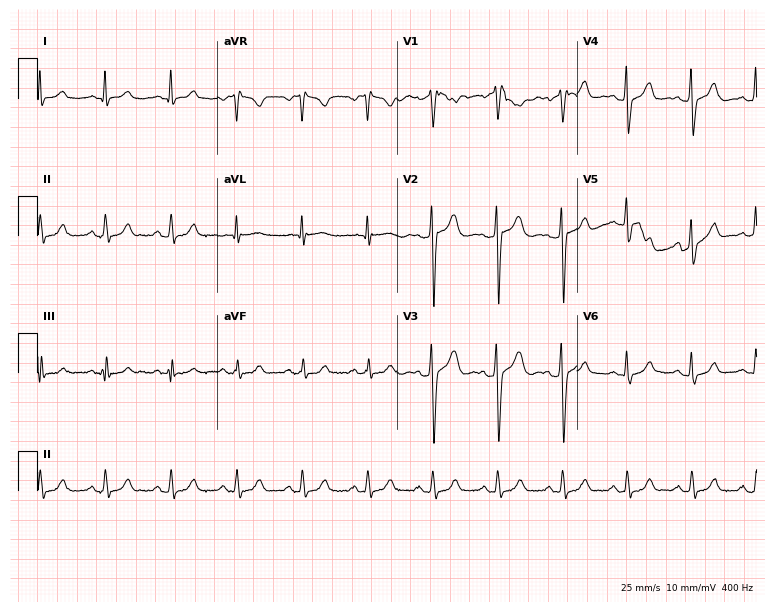
ECG — a male patient, 54 years old. Labelled as a normal ECG.